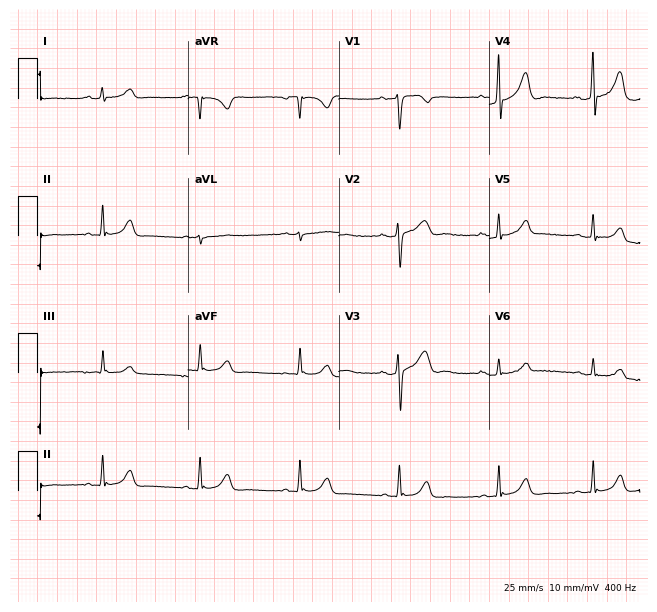
ECG — a woman, 36 years old. Screened for six findings — first-degree AV block, right bundle branch block (RBBB), left bundle branch block (LBBB), sinus bradycardia, atrial fibrillation (AF), sinus tachycardia — none is recorded. Other findings, if any, are not listed.